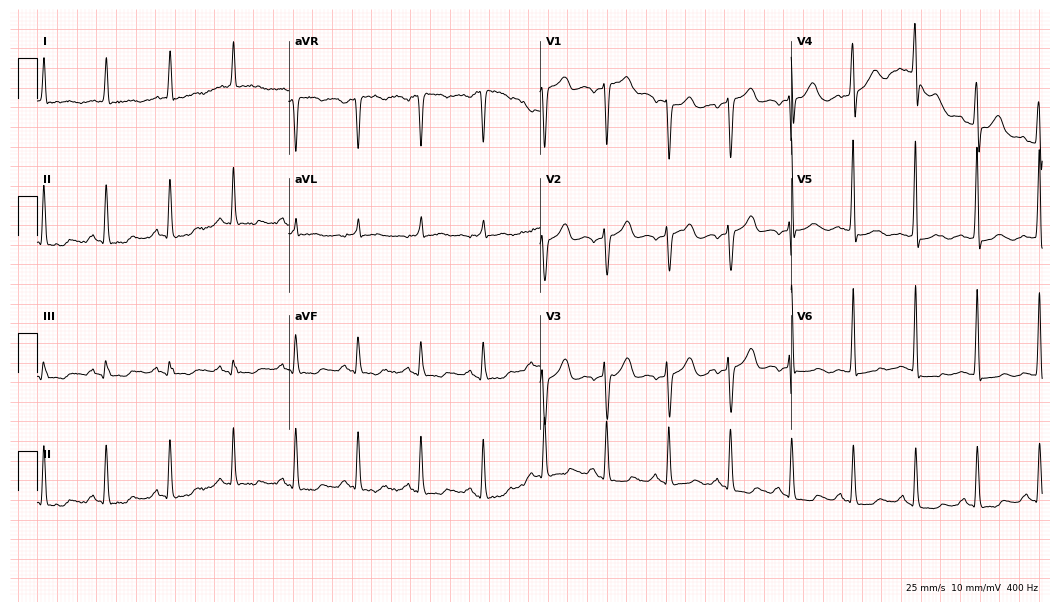
Resting 12-lead electrocardiogram. Patient: a 79-year-old female. None of these six findings is recorded: first-degree AV block, right bundle branch block, left bundle branch block, sinus bradycardia, atrial fibrillation, sinus tachycardia. Only these six findings were labelled.